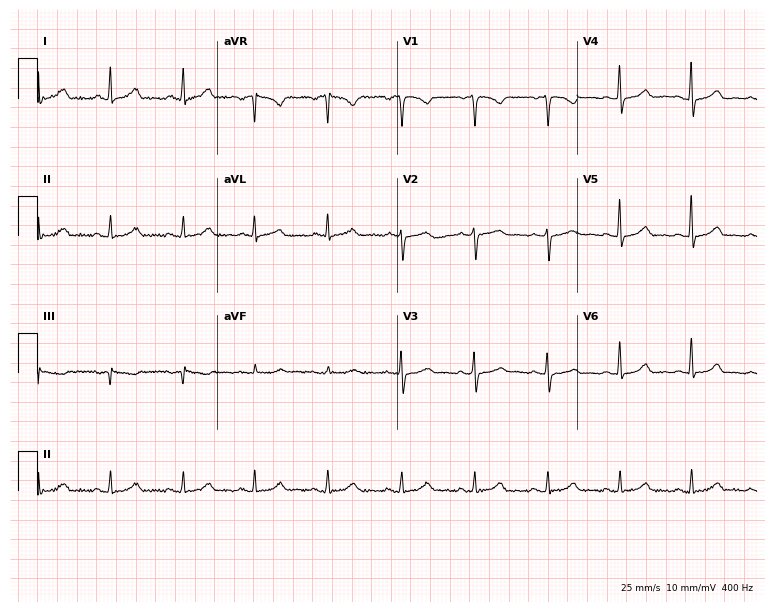
ECG — a female patient, 39 years old. Labelled as a normal ECG.